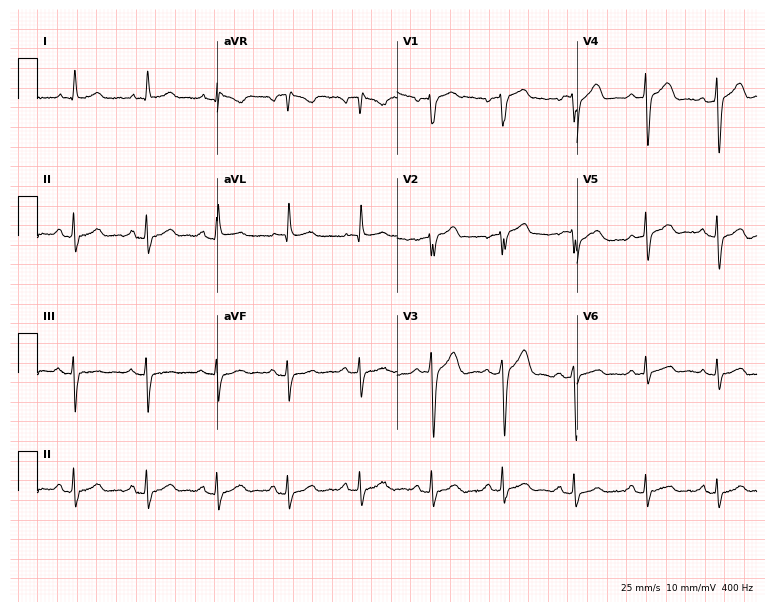
ECG (7.3-second recording at 400 Hz) — a male, 65 years old. Labelled as a normal ECG.